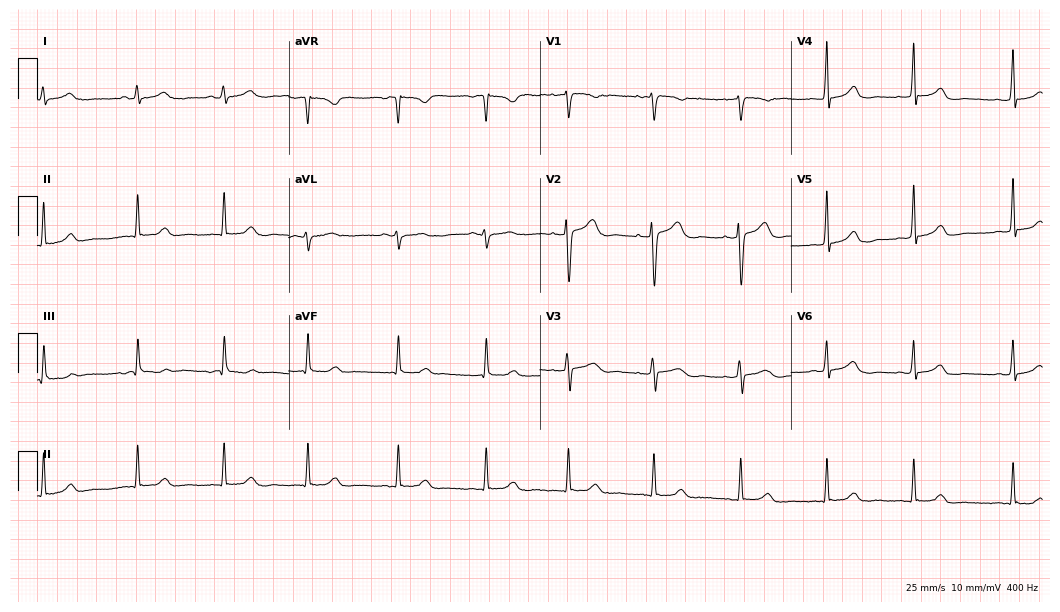
Standard 12-lead ECG recorded from a woman, 26 years old (10.2-second recording at 400 Hz). None of these six findings is recorded: first-degree AV block, right bundle branch block, left bundle branch block, sinus bradycardia, atrial fibrillation, sinus tachycardia. Findings outside these six are not listed.